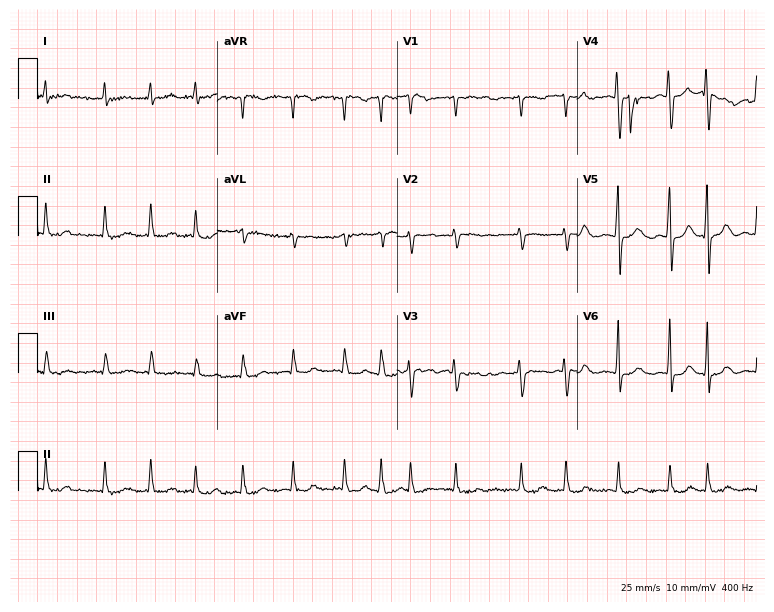
Electrocardiogram, a woman, 82 years old. Interpretation includes atrial fibrillation.